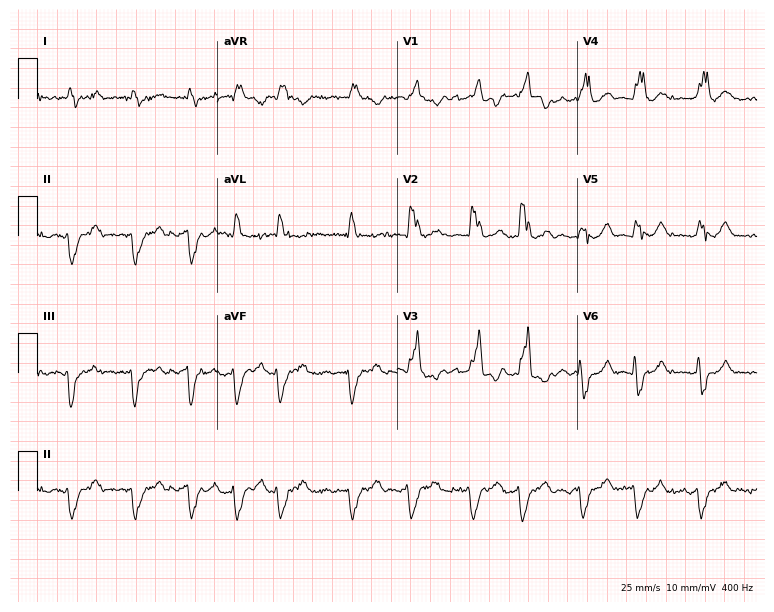
Standard 12-lead ECG recorded from a 78-year-old female (7.3-second recording at 400 Hz). None of these six findings is recorded: first-degree AV block, right bundle branch block, left bundle branch block, sinus bradycardia, atrial fibrillation, sinus tachycardia. Other findings, if any, are not listed.